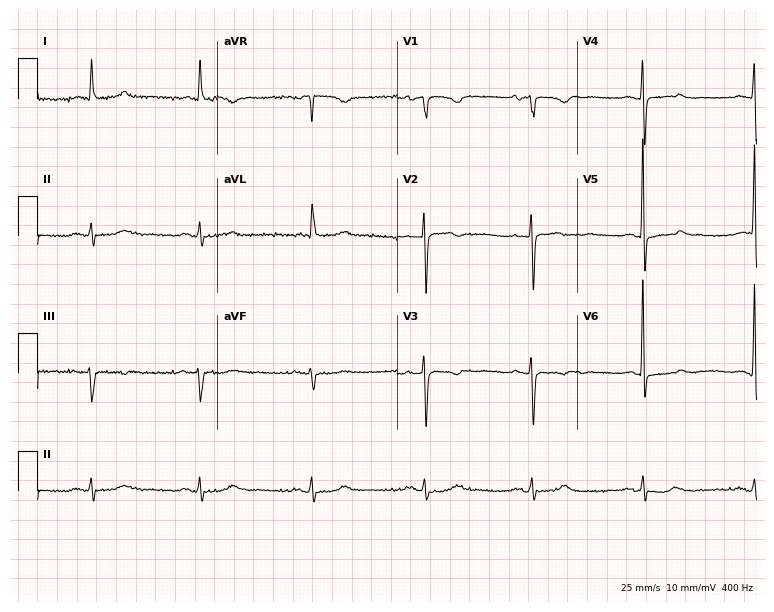
Electrocardiogram (7.3-second recording at 400 Hz), an 83-year-old female. Of the six screened findings (first-degree AV block, right bundle branch block, left bundle branch block, sinus bradycardia, atrial fibrillation, sinus tachycardia), none is recorded.